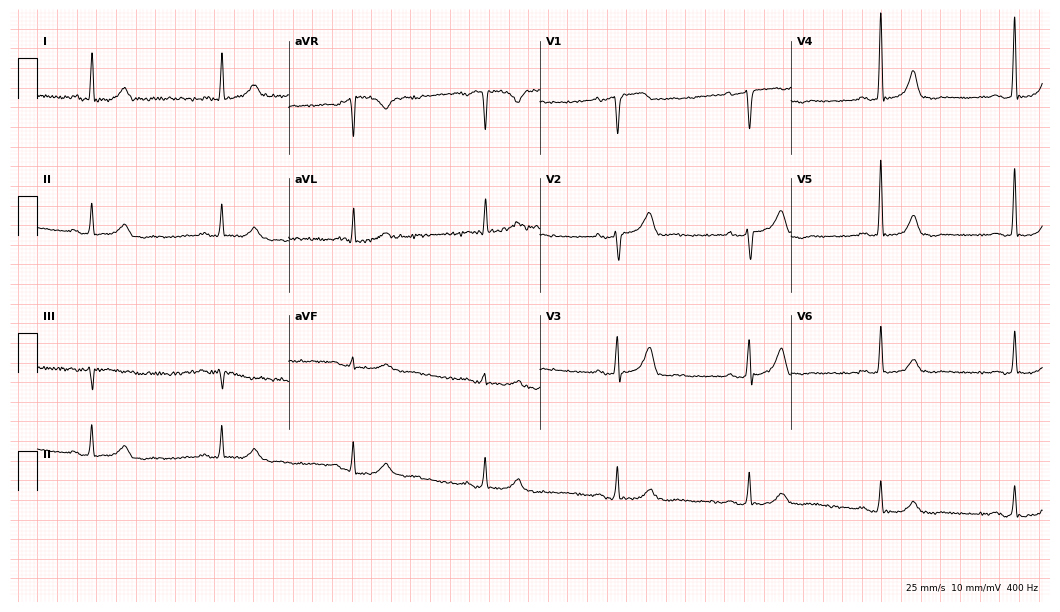
Resting 12-lead electrocardiogram. Patient: a 70-year-old male. None of these six findings is recorded: first-degree AV block, right bundle branch block, left bundle branch block, sinus bradycardia, atrial fibrillation, sinus tachycardia.